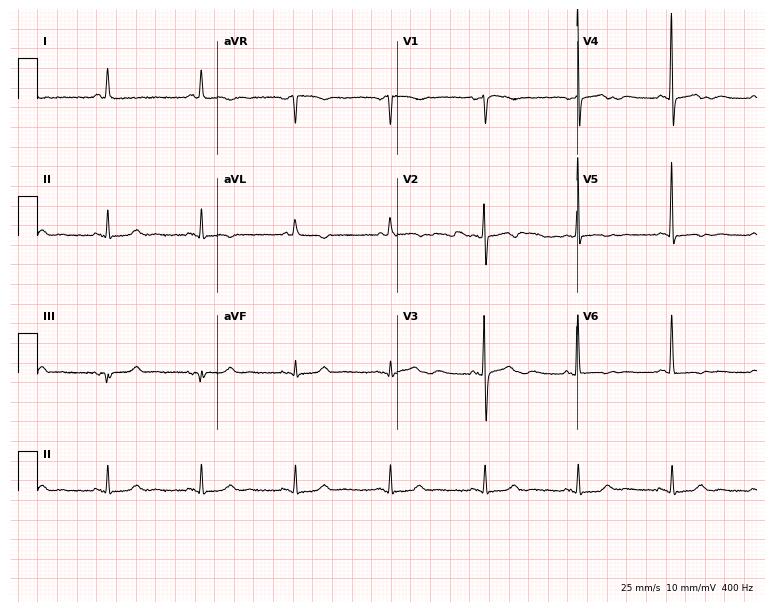
Electrocardiogram (7.3-second recording at 400 Hz), a 65-year-old female. Of the six screened findings (first-degree AV block, right bundle branch block (RBBB), left bundle branch block (LBBB), sinus bradycardia, atrial fibrillation (AF), sinus tachycardia), none is recorded. Findings outside these six are not listed.